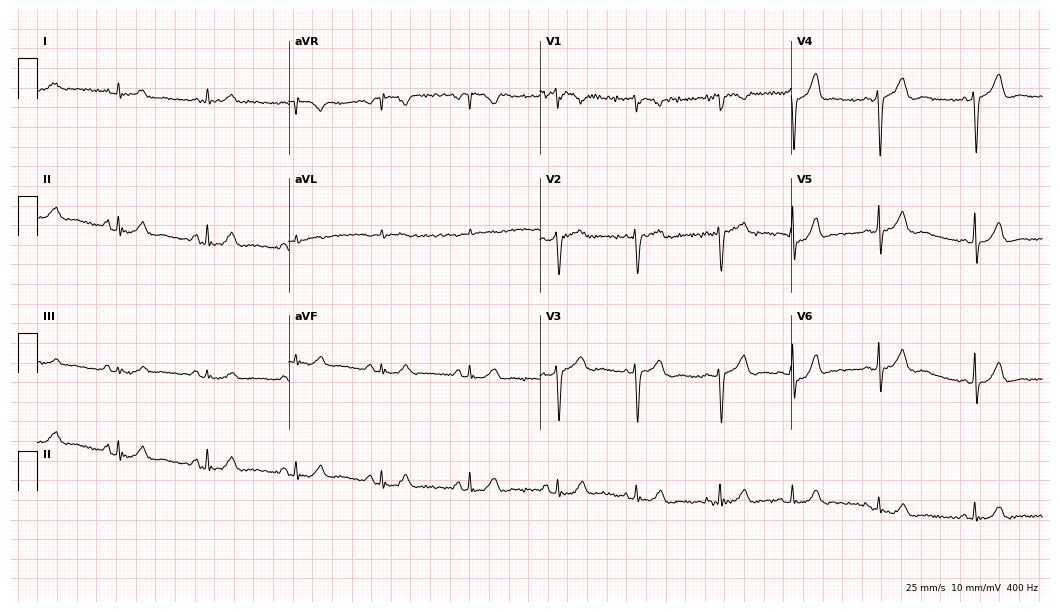
Resting 12-lead electrocardiogram. Patient: an 85-year-old female. None of these six findings is recorded: first-degree AV block, right bundle branch block (RBBB), left bundle branch block (LBBB), sinus bradycardia, atrial fibrillation (AF), sinus tachycardia. Only these six findings were labelled.